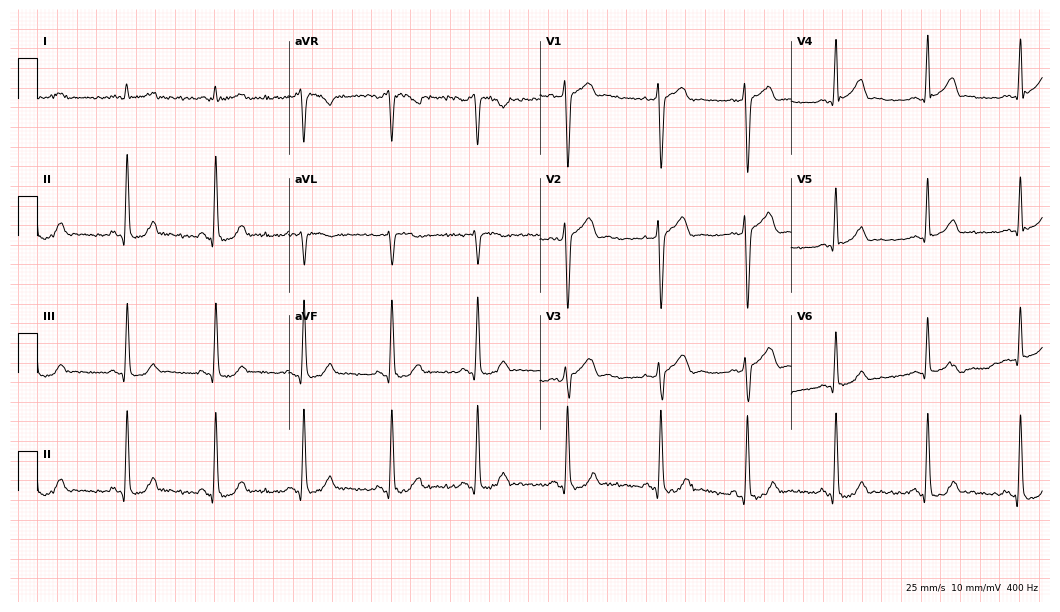
Electrocardiogram, a 38-year-old man. Of the six screened findings (first-degree AV block, right bundle branch block, left bundle branch block, sinus bradycardia, atrial fibrillation, sinus tachycardia), none is recorded. Only these six findings were labelled.